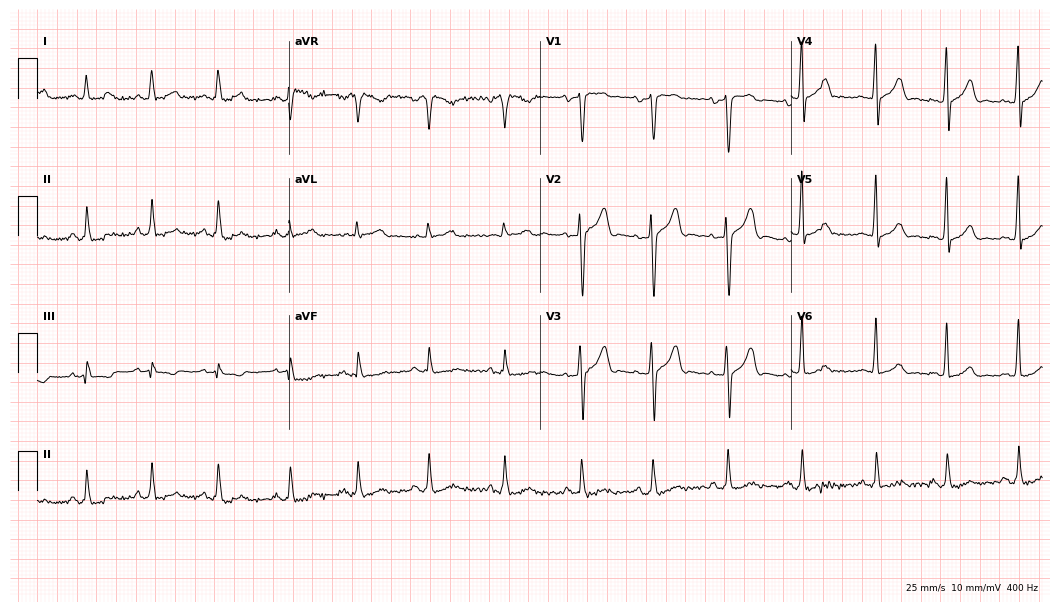
Standard 12-lead ECG recorded from a 53-year-old male patient. Read as a normal ECG.